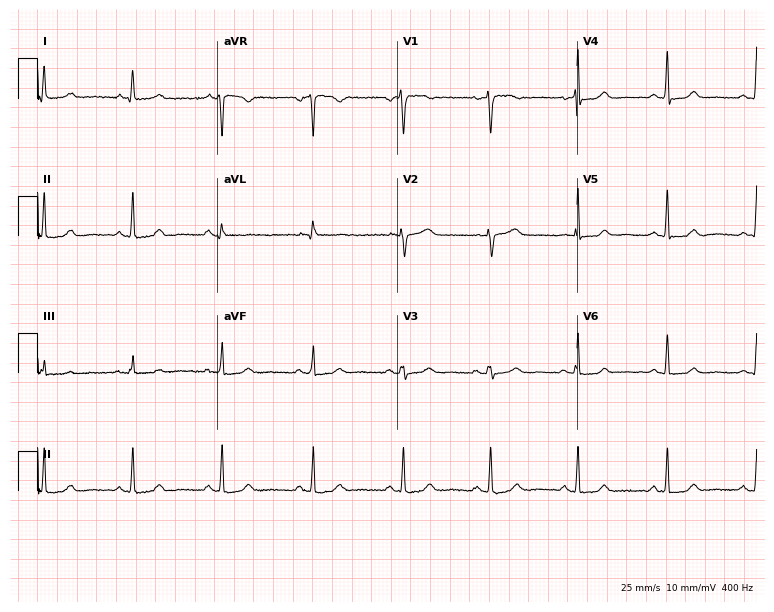
ECG — a female, 53 years old. Screened for six findings — first-degree AV block, right bundle branch block, left bundle branch block, sinus bradycardia, atrial fibrillation, sinus tachycardia — none is recorded. Findings outside these six are not listed.